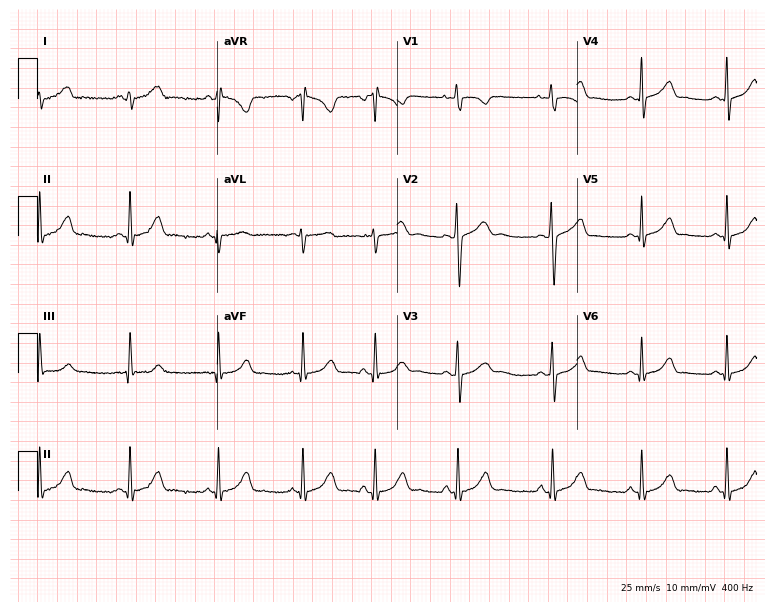
Resting 12-lead electrocardiogram (7.3-second recording at 400 Hz). Patient: a woman, 20 years old. None of these six findings is recorded: first-degree AV block, right bundle branch block (RBBB), left bundle branch block (LBBB), sinus bradycardia, atrial fibrillation (AF), sinus tachycardia.